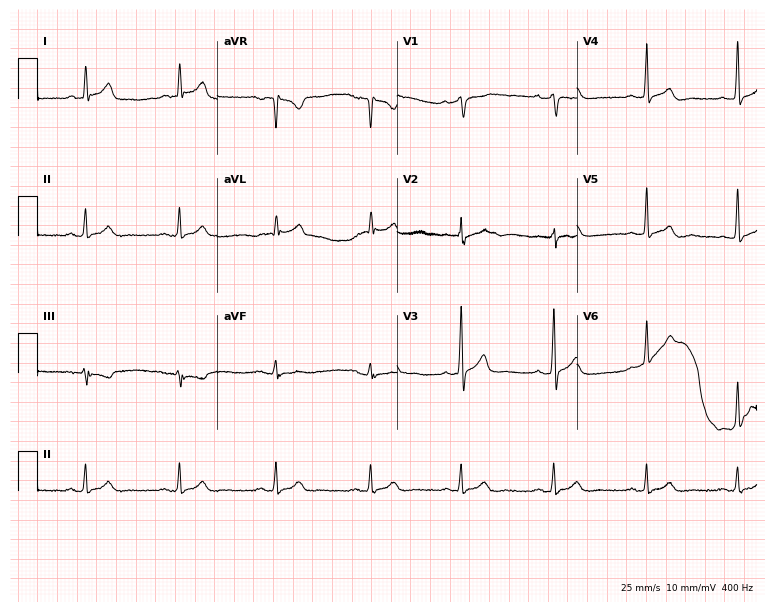
ECG (7.3-second recording at 400 Hz) — a 38-year-old male patient. Screened for six findings — first-degree AV block, right bundle branch block (RBBB), left bundle branch block (LBBB), sinus bradycardia, atrial fibrillation (AF), sinus tachycardia — none is recorded.